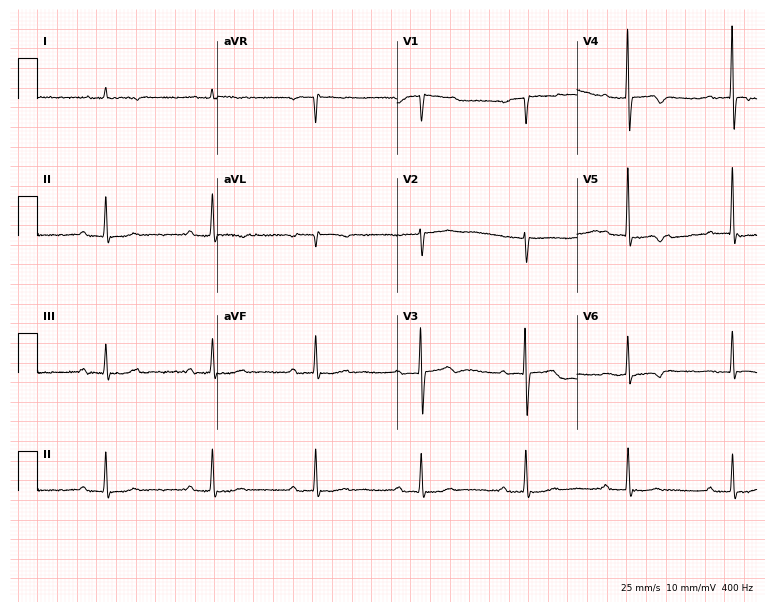
12-lead ECG (7.3-second recording at 400 Hz) from an 85-year-old male patient. Findings include first-degree AV block.